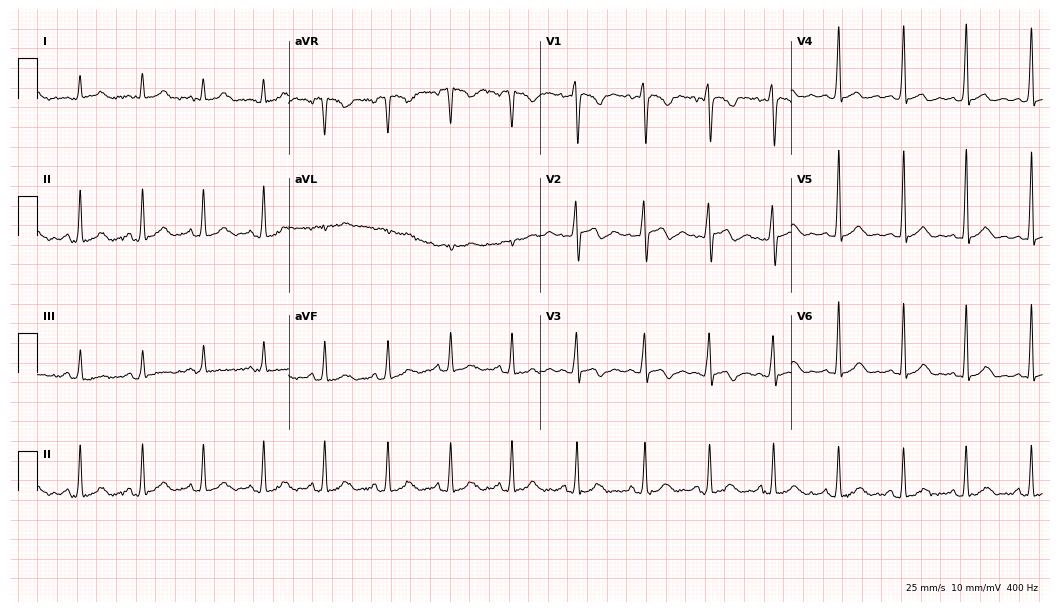
12-lead ECG from a woman, 27 years old. Screened for six findings — first-degree AV block, right bundle branch block (RBBB), left bundle branch block (LBBB), sinus bradycardia, atrial fibrillation (AF), sinus tachycardia — none is recorded. Findings outside these six are not listed.